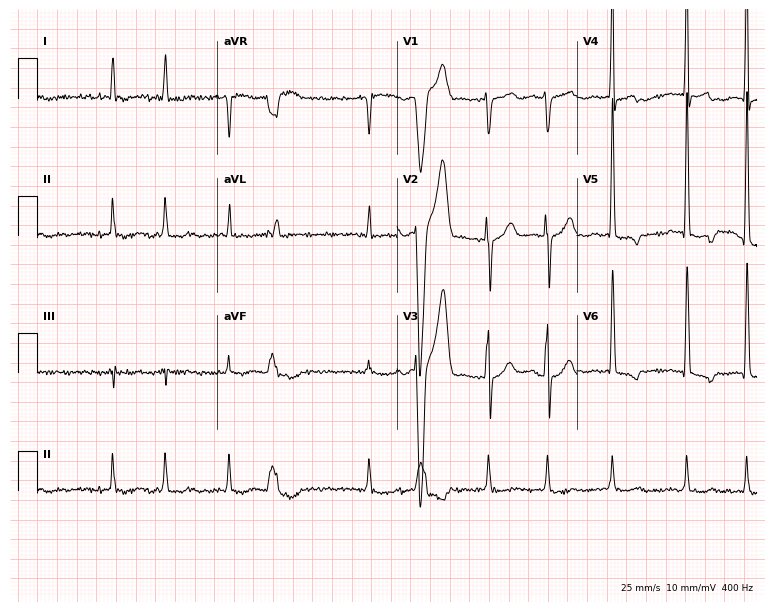
Electrocardiogram, a male patient, 79 years old. Interpretation includes atrial fibrillation (AF).